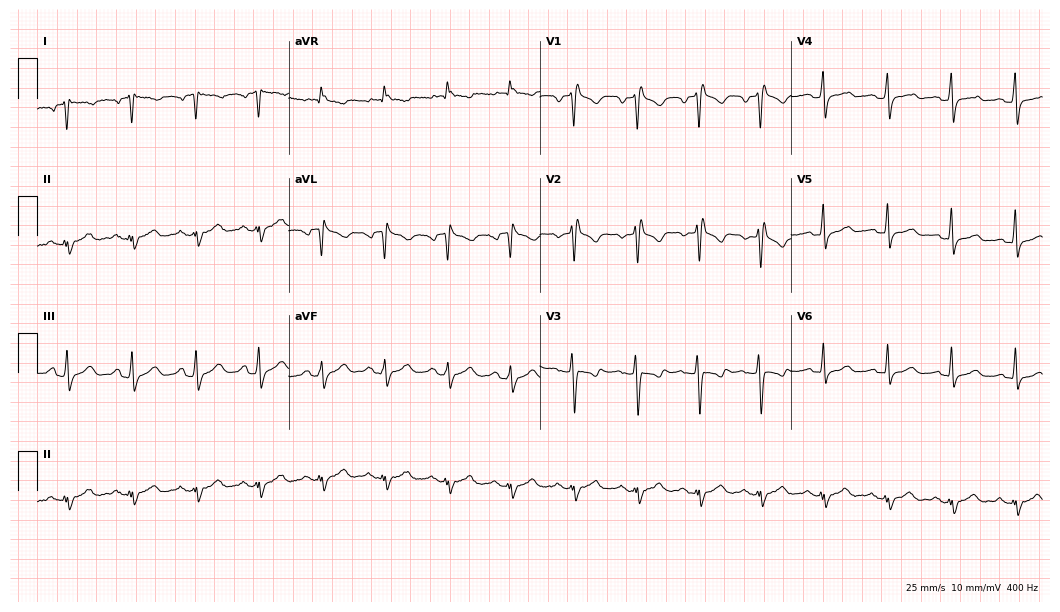
Electrocardiogram, a woman, 30 years old. Of the six screened findings (first-degree AV block, right bundle branch block, left bundle branch block, sinus bradycardia, atrial fibrillation, sinus tachycardia), none is recorded. Other findings, if any, are not listed.